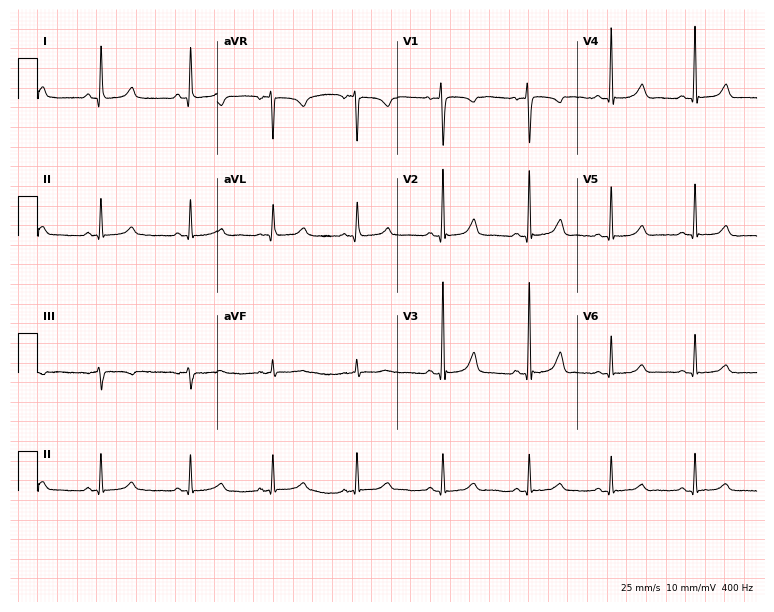
12-lead ECG (7.3-second recording at 400 Hz) from a female patient, 25 years old. Labelled as a normal ECG.